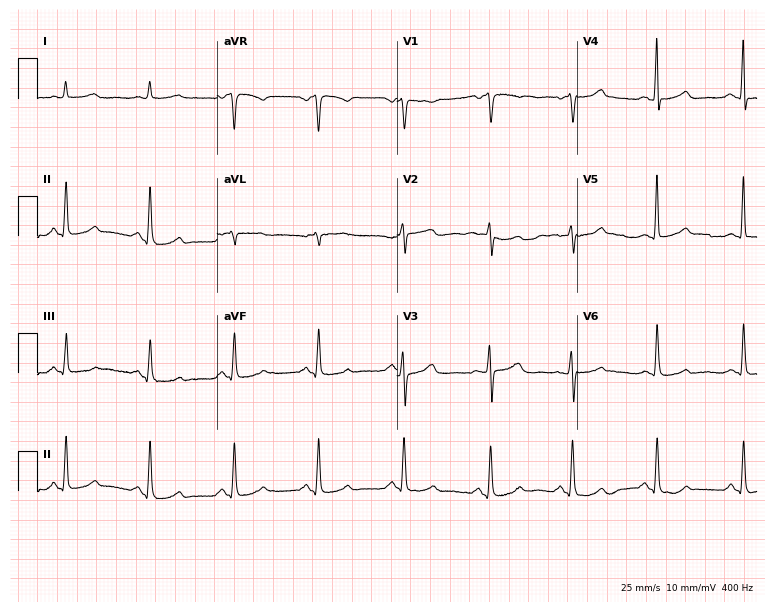
Electrocardiogram, a female patient, 64 years old. Overall reading on record: normal ECG.